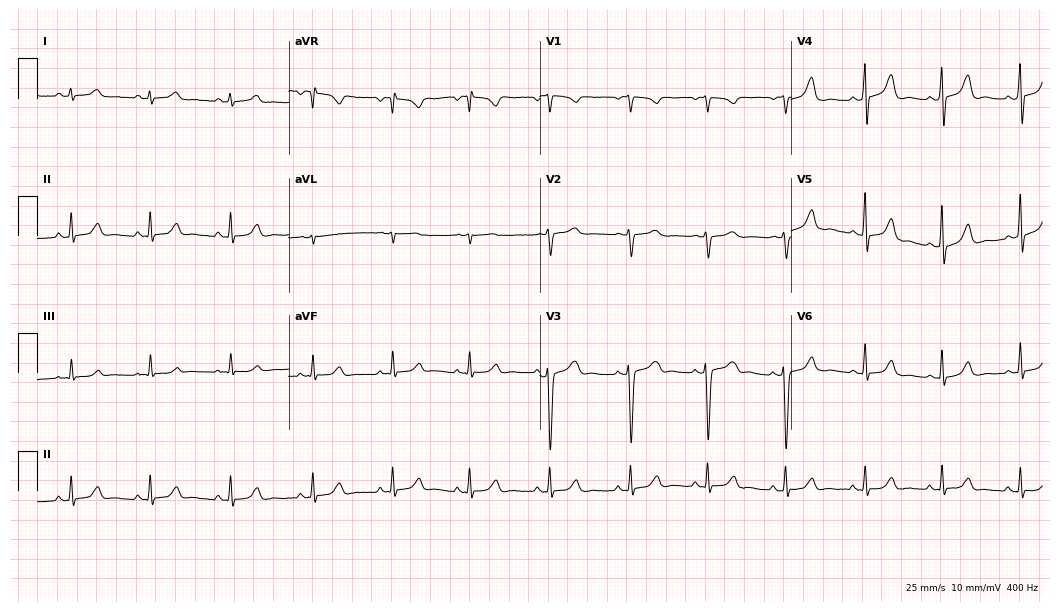
Standard 12-lead ECG recorded from a 24-year-old female (10.2-second recording at 400 Hz). Read as a normal ECG.